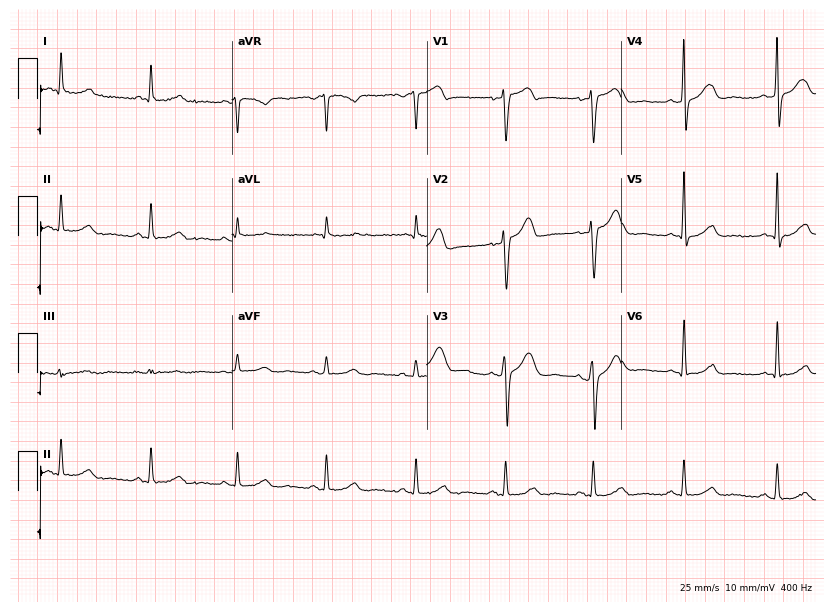
ECG (7.9-second recording at 400 Hz) — a male patient, 49 years old. Labelled as a normal ECG.